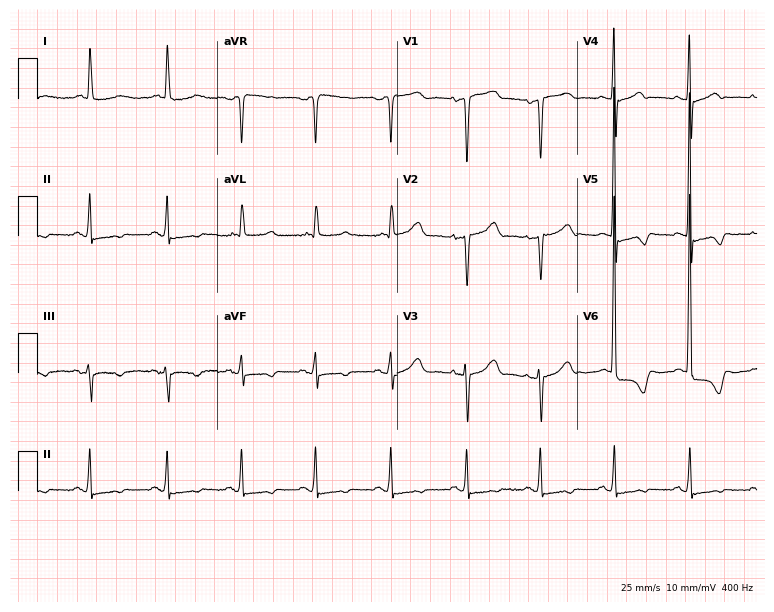
Standard 12-lead ECG recorded from a woman, 62 years old. None of these six findings is recorded: first-degree AV block, right bundle branch block, left bundle branch block, sinus bradycardia, atrial fibrillation, sinus tachycardia.